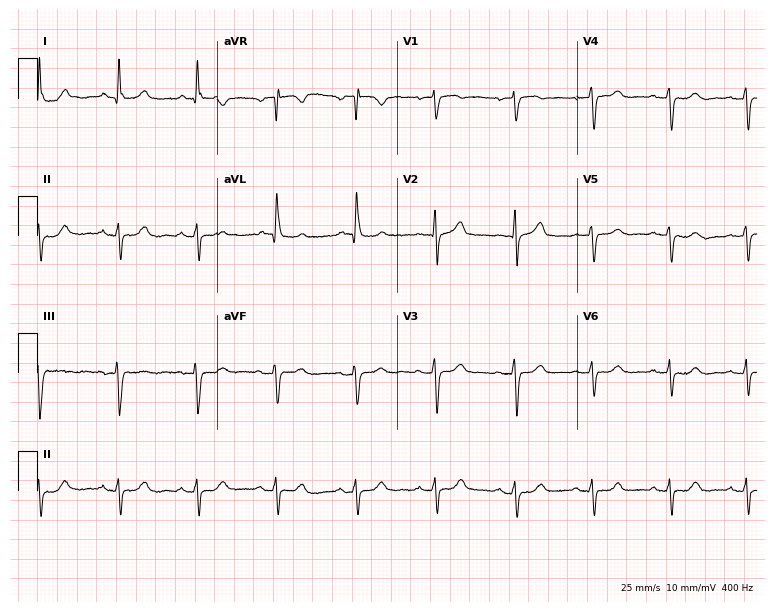
12-lead ECG from a woman, 84 years old. No first-degree AV block, right bundle branch block, left bundle branch block, sinus bradycardia, atrial fibrillation or sinus tachycardia recorded for this tracing. Findings outside these six are not listed.